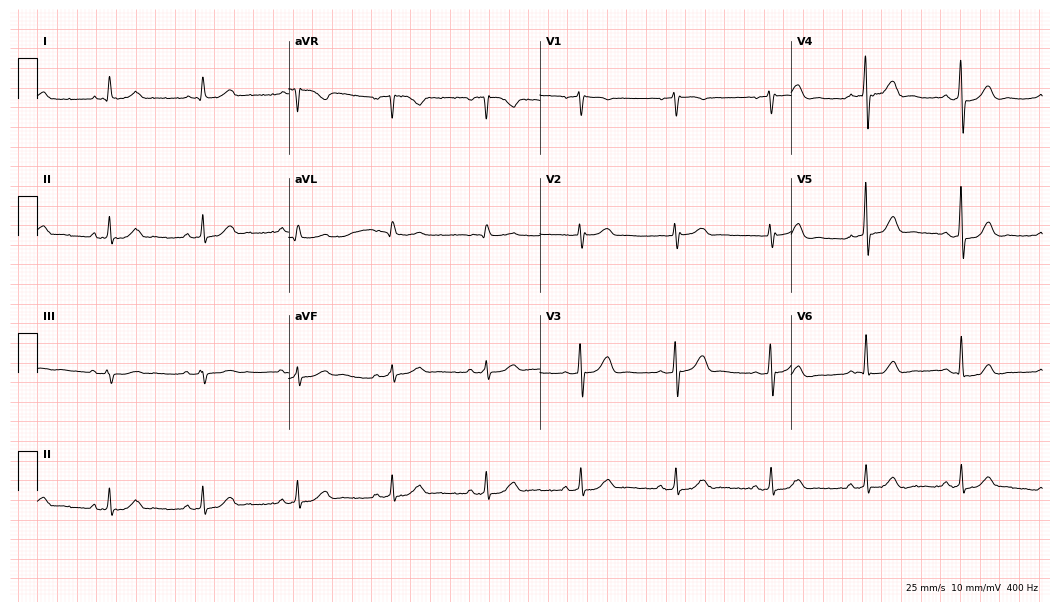
12-lead ECG from an 84-year-old female (10.2-second recording at 400 Hz). Recorded interpretation: within normal limits.